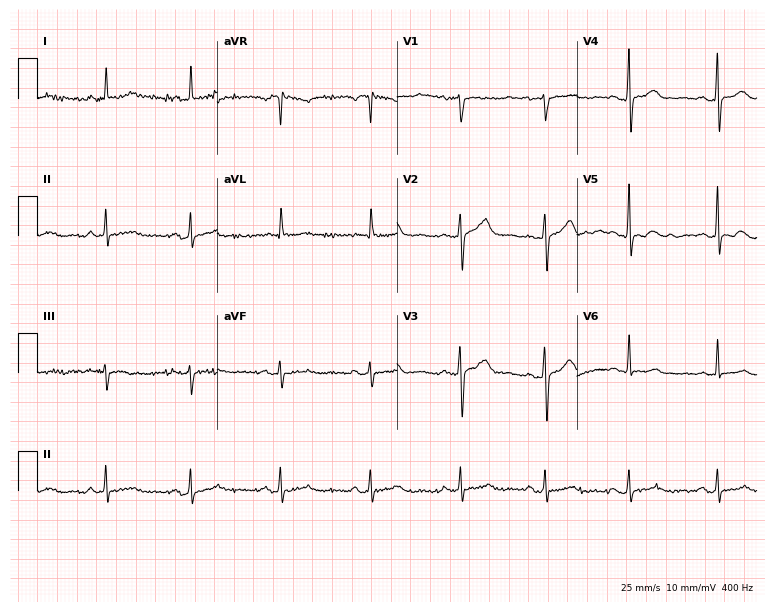
Electrocardiogram, a female patient, 57 years old. Overall reading on record: normal ECG.